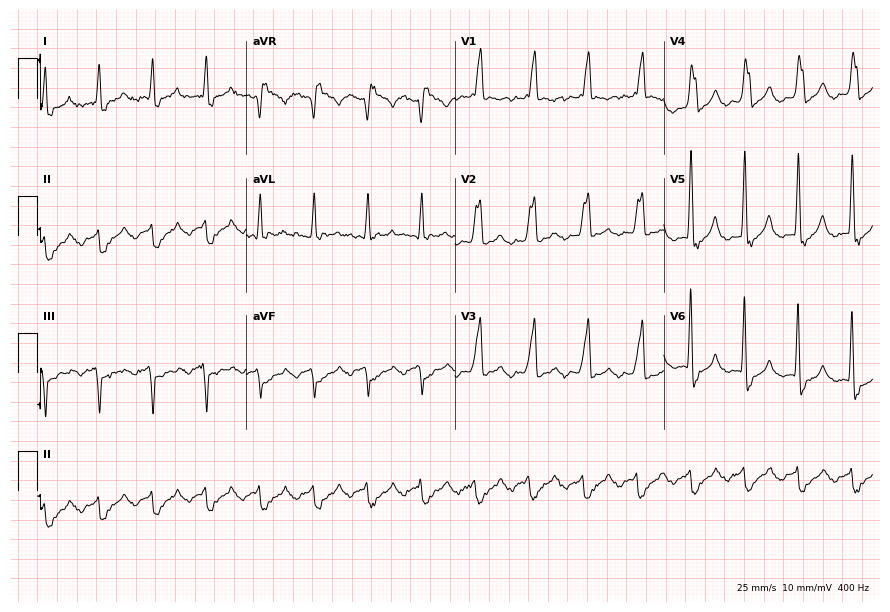
12-lead ECG from a 71-year-old male. No first-degree AV block, right bundle branch block, left bundle branch block, sinus bradycardia, atrial fibrillation or sinus tachycardia recorded for this tracing.